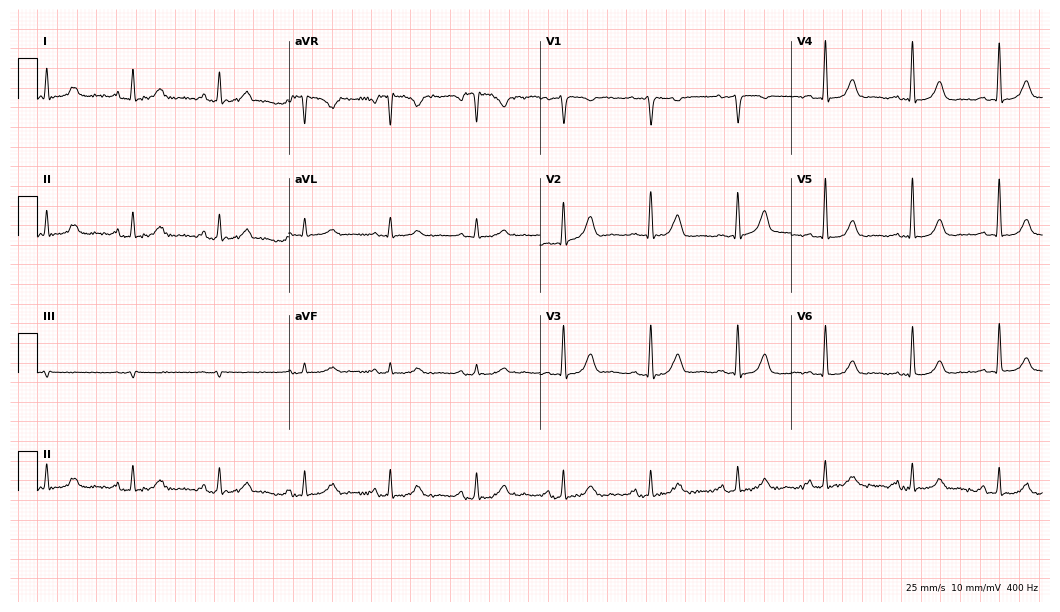
12-lead ECG from a 78-year-old female patient (10.2-second recording at 400 Hz). Recorded interpretation: within normal limits.